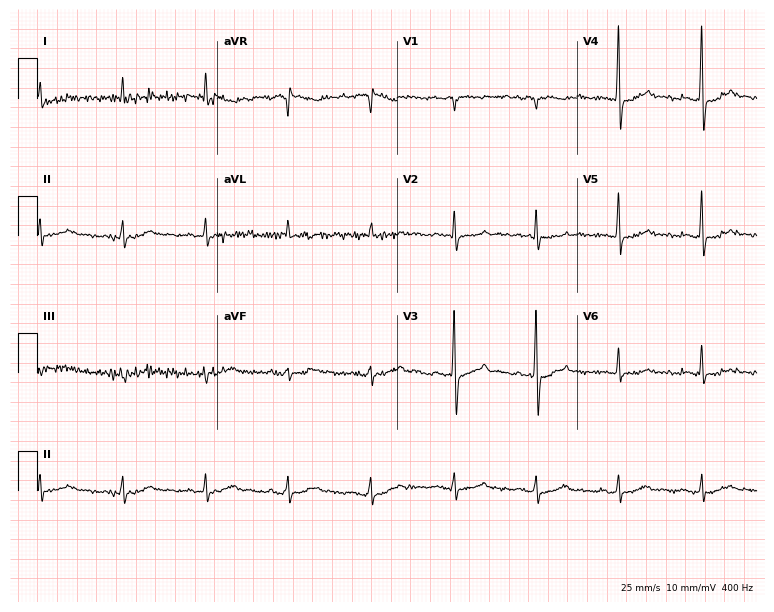
ECG — an 82-year-old female patient. Labelled as a normal ECG.